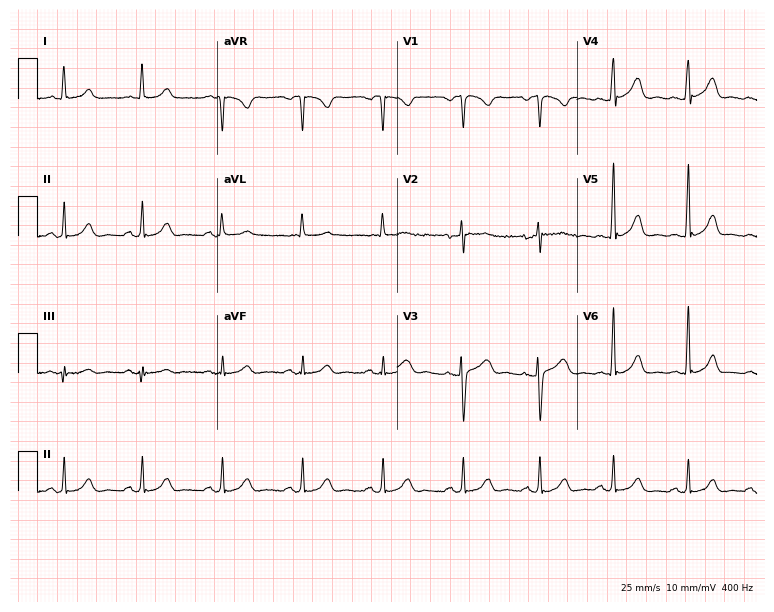
Resting 12-lead electrocardiogram (7.3-second recording at 400 Hz). Patient: a 48-year-old female. Read as a normal ECG.